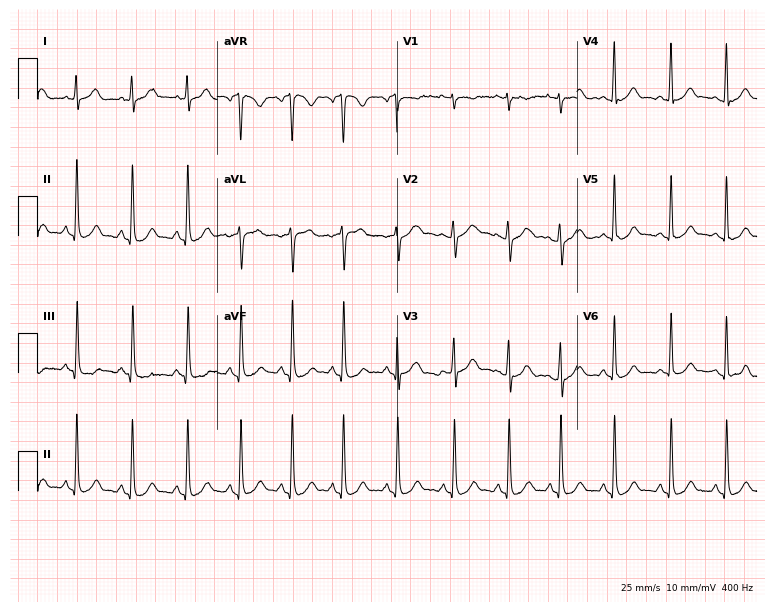
Electrocardiogram (7.3-second recording at 400 Hz), a female, 22 years old. Interpretation includes sinus tachycardia (a sinus rate of 100 beats per minute or more).